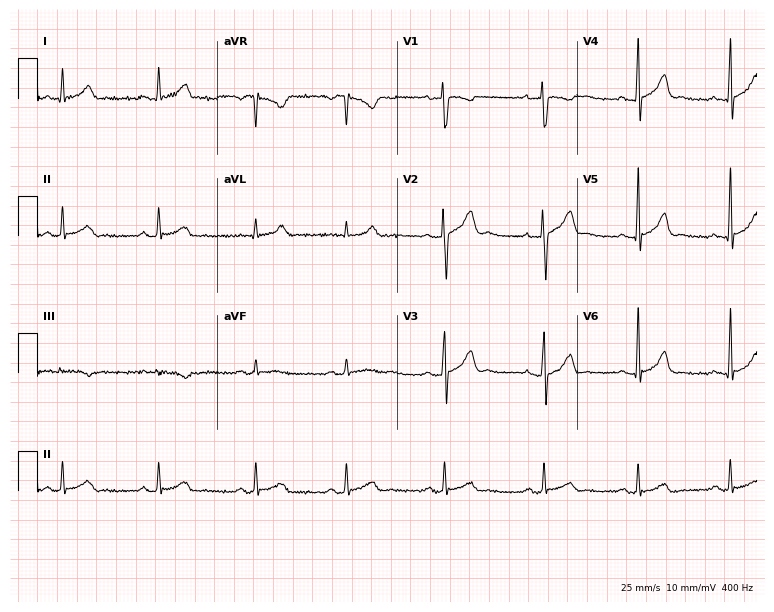
12-lead ECG (7.3-second recording at 400 Hz) from a male patient, 25 years old. Labelled as a normal ECG.